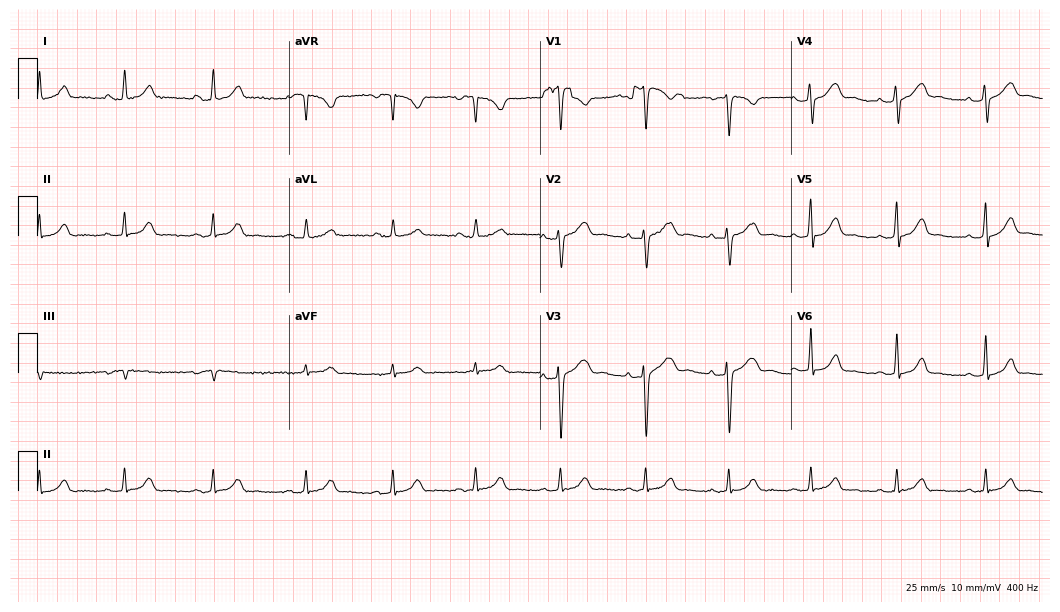
Resting 12-lead electrocardiogram (10.2-second recording at 400 Hz). Patient: a female, 36 years old. Read as a normal ECG.